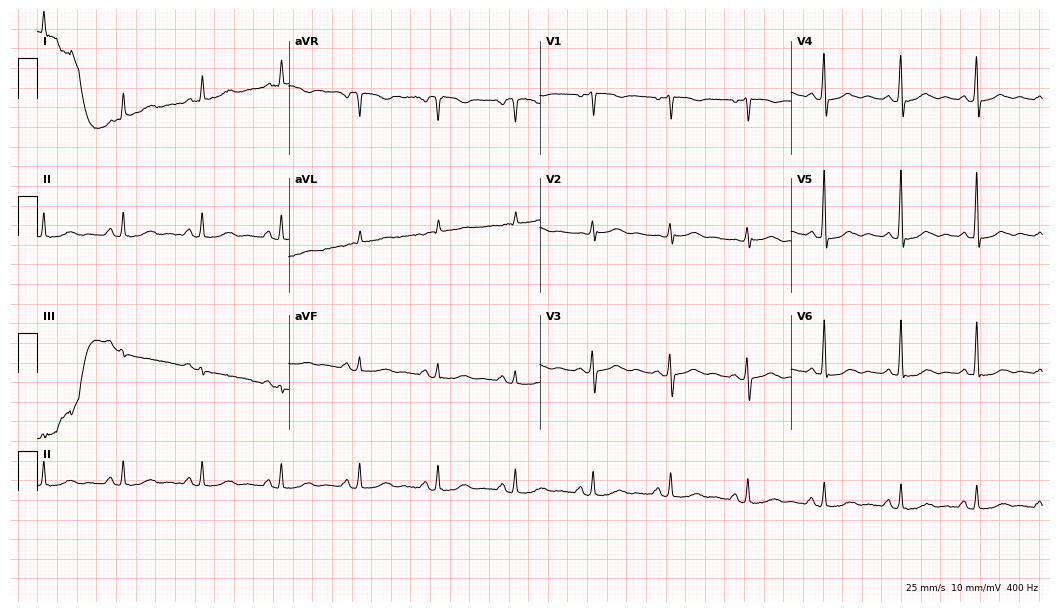
12-lead ECG (10.2-second recording at 400 Hz) from a 73-year-old female. Screened for six findings — first-degree AV block, right bundle branch block, left bundle branch block, sinus bradycardia, atrial fibrillation, sinus tachycardia — none is recorded. Only these six findings were labelled.